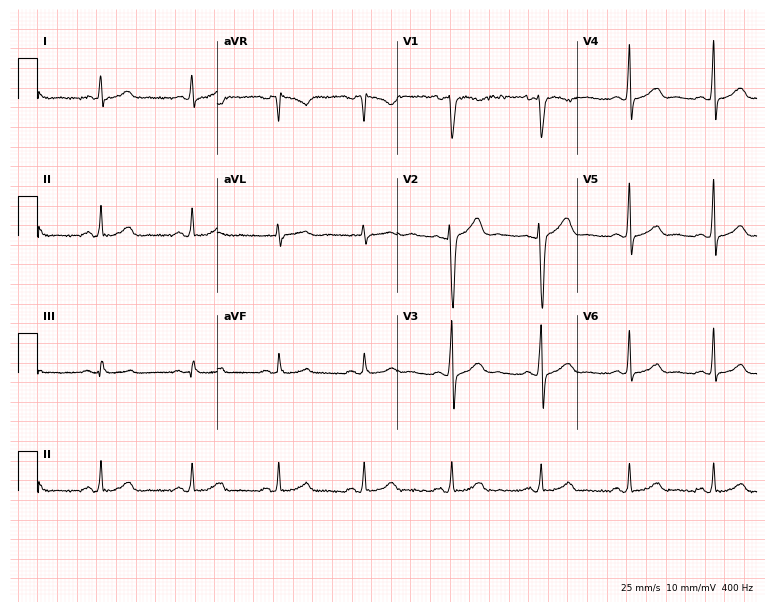
ECG (7.3-second recording at 400 Hz) — a 42-year-old male patient. Labelled as a normal ECG.